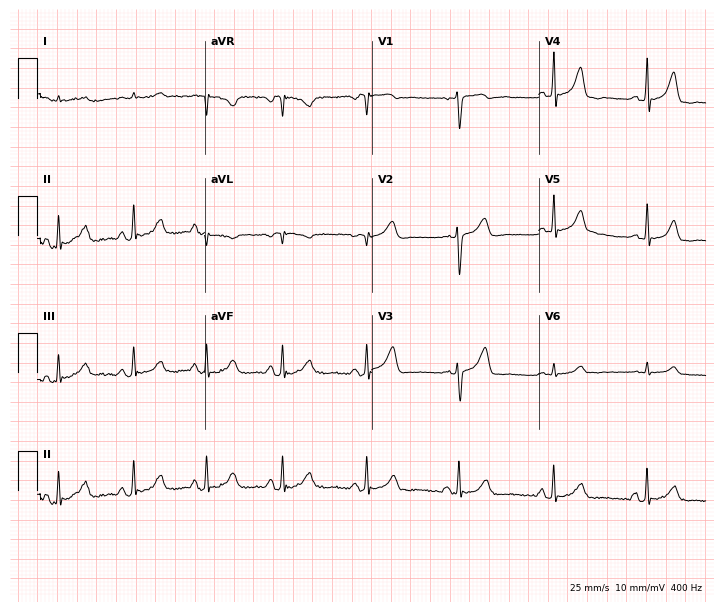
Resting 12-lead electrocardiogram. Patient: a male, 44 years old. Read as a normal ECG.